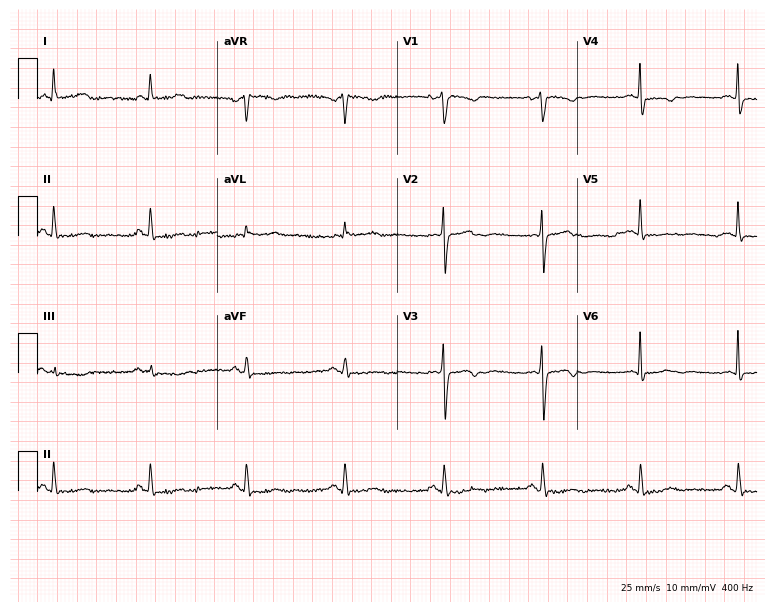
Standard 12-lead ECG recorded from a female patient, 47 years old (7.3-second recording at 400 Hz). None of these six findings is recorded: first-degree AV block, right bundle branch block, left bundle branch block, sinus bradycardia, atrial fibrillation, sinus tachycardia.